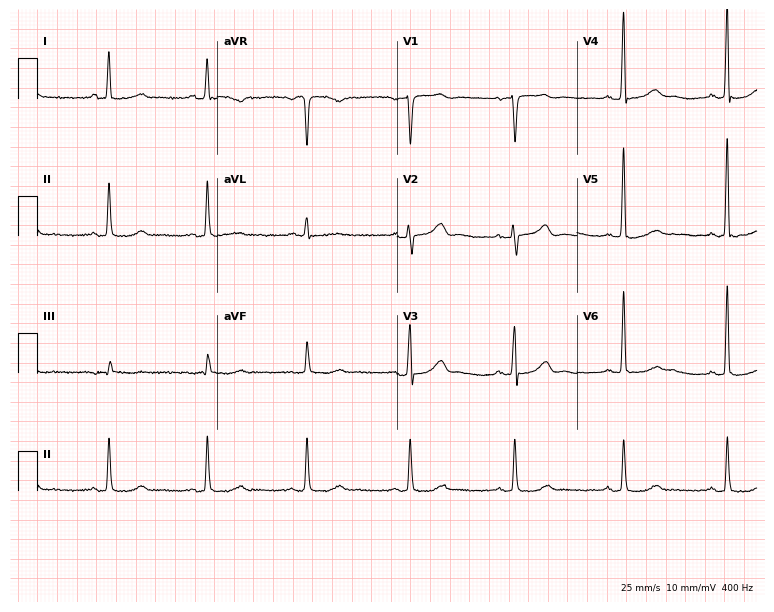
ECG — a 69-year-old female patient. Labelled as a normal ECG.